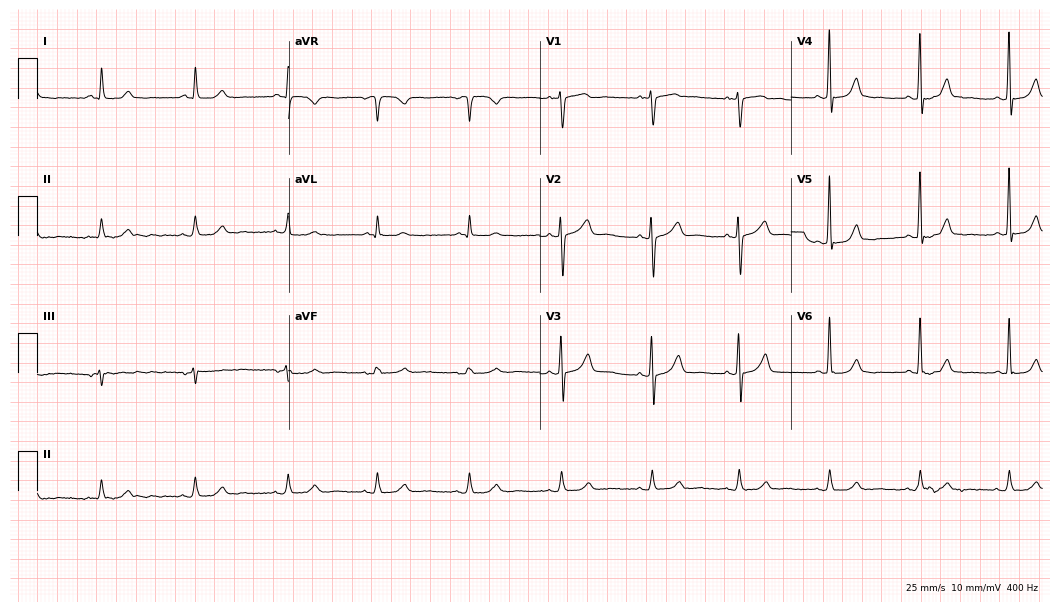
12-lead ECG from a 67-year-old woman (10.2-second recording at 400 Hz). No first-degree AV block, right bundle branch block (RBBB), left bundle branch block (LBBB), sinus bradycardia, atrial fibrillation (AF) or sinus tachycardia recorded for this tracing.